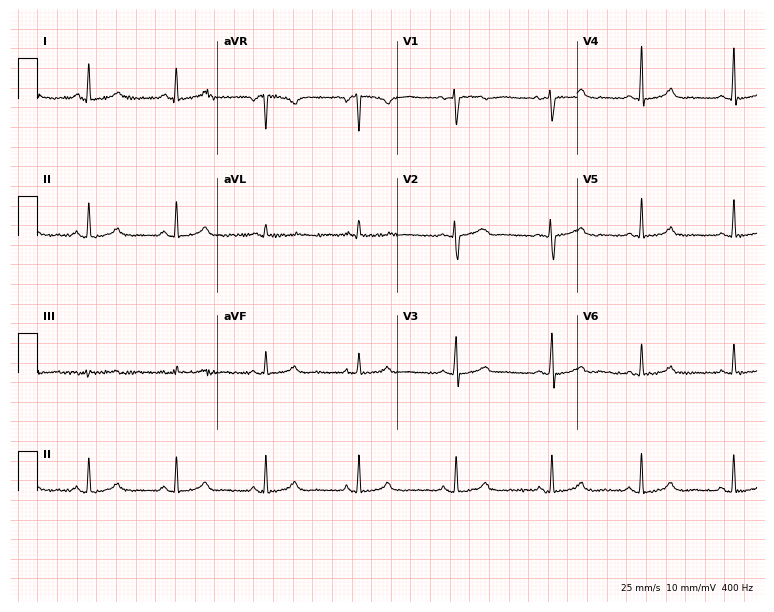
Electrocardiogram, a 17-year-old woman. Overall reading on record: normal ECG.